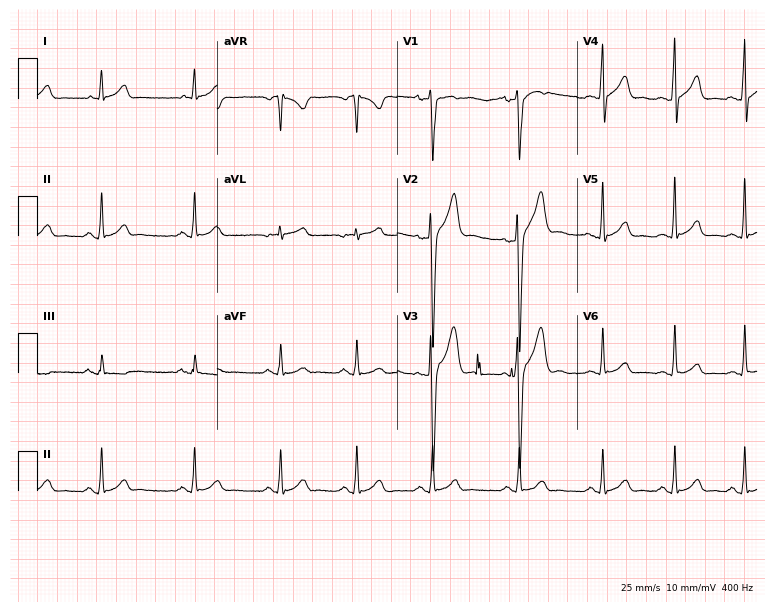
Standard 12-lead ECG recorded from a 21-year-old male patient (7.3-second recording at 400 Hz). Read as a normal ECG.